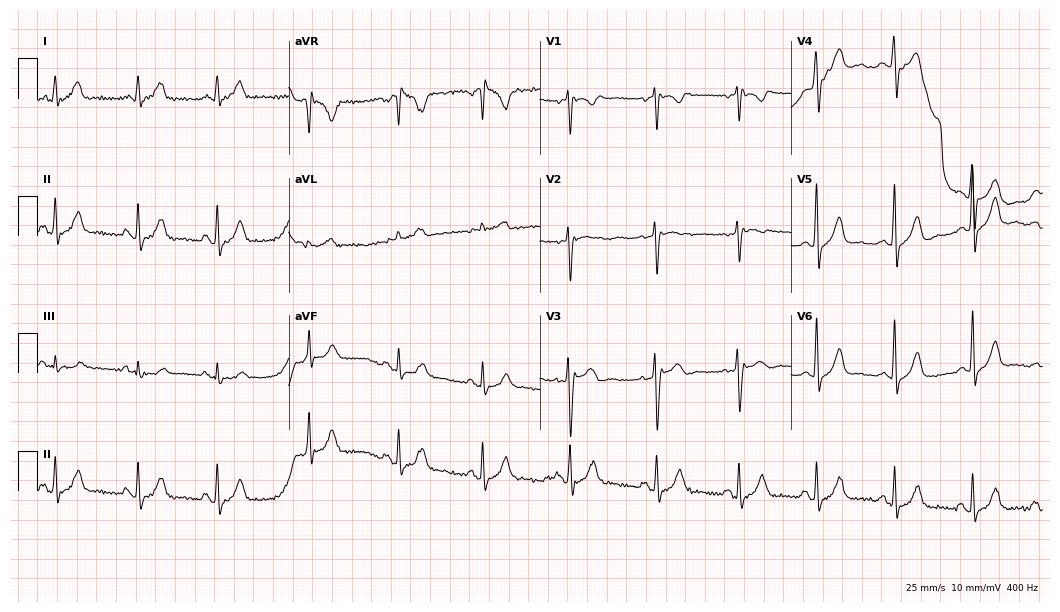
12-lead ECG from a man, 24 years old. Labelled as a normal ECG.